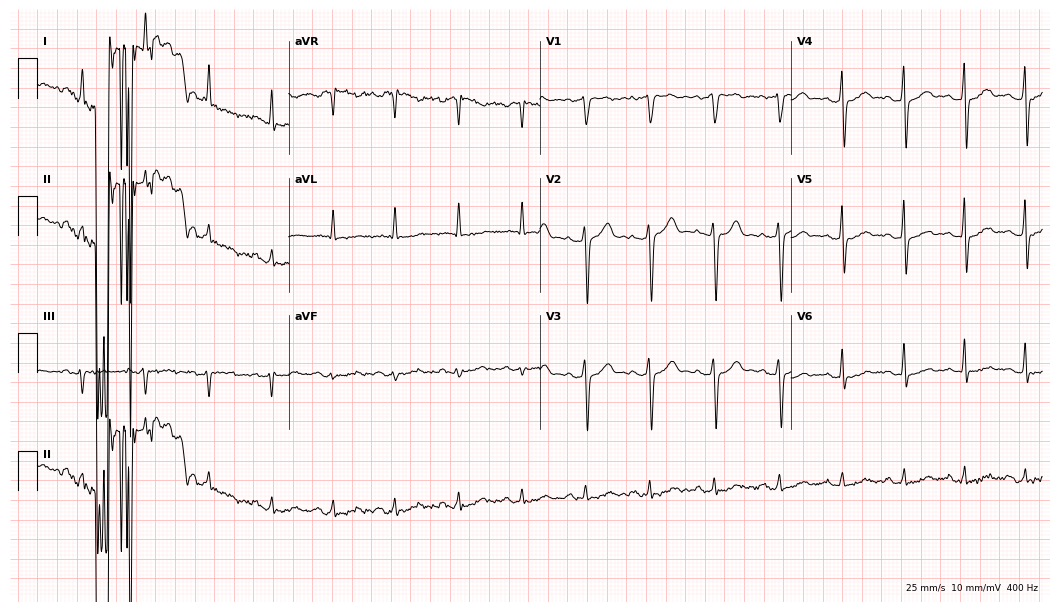
Standard 12-lead ECG recorded from a 41-year-old man. Read as a normal ECG.